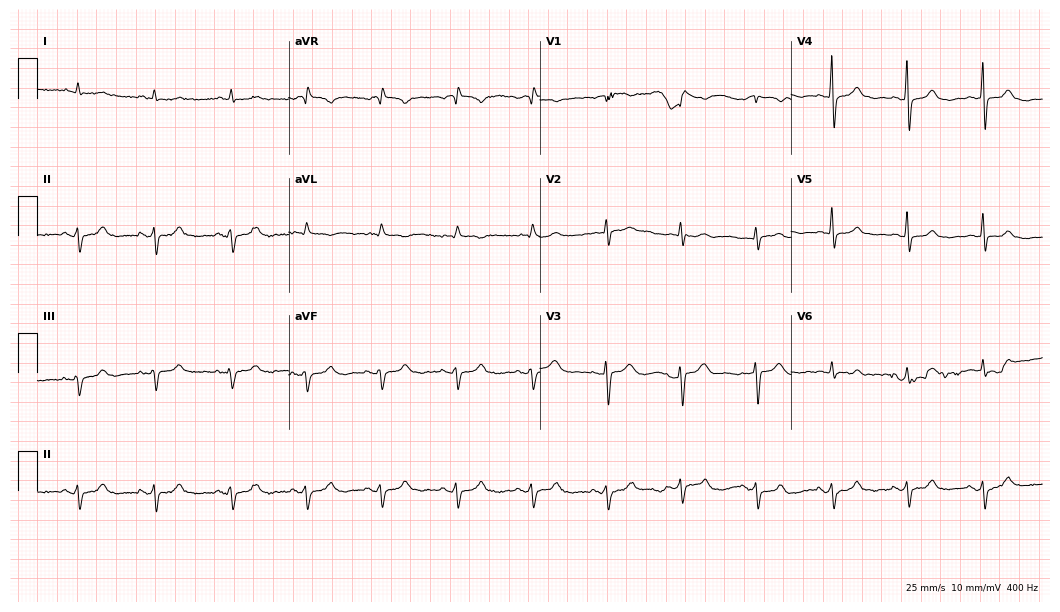
Electrocardiogram, a woman, 61 years old. Of the six screened findings (first-degree AV block, right bundle branch block, left bundle branch block, sinus bradycardia, atrial fibrillation, sinus tachycardia), none is recorded.